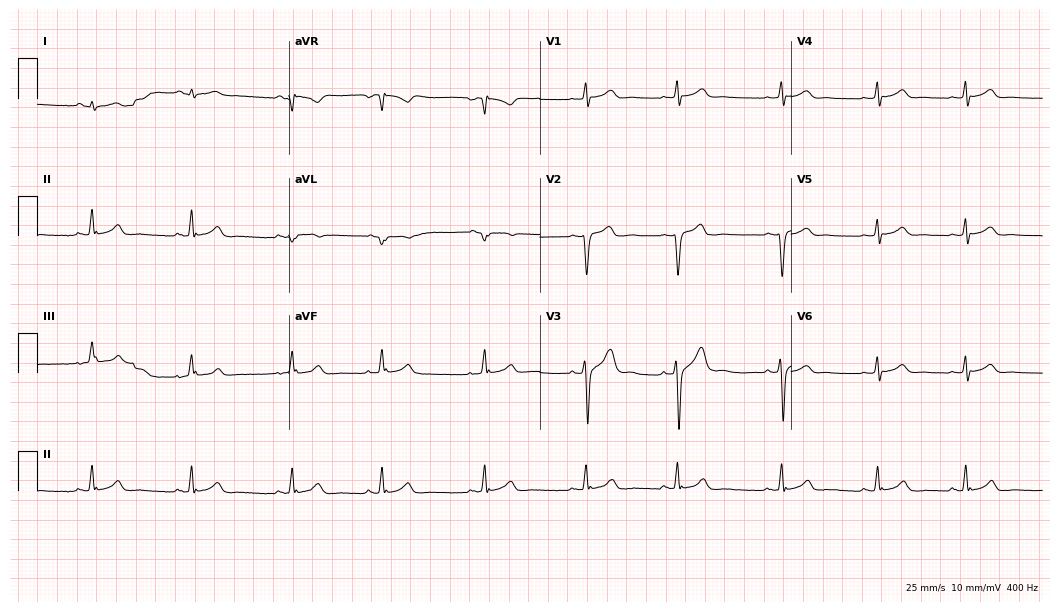
Standard 12-lead ECG recorded from a male, 19 years old (10.2-second recording at 400 Hz). Read as a normal ECG.